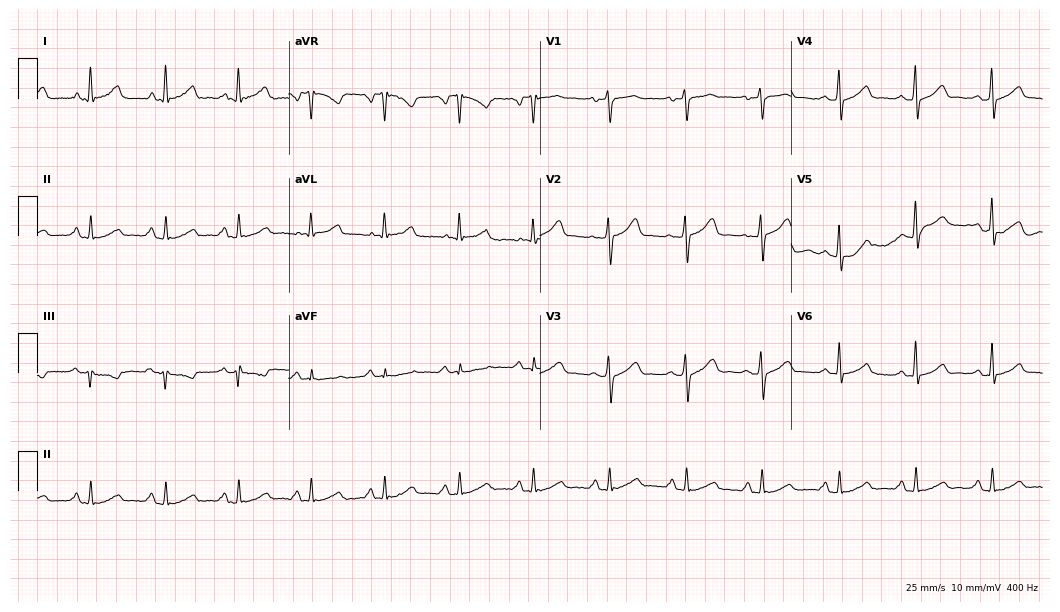
12-lead ECG (10.2-second recording at 400 Hz) from a 51-year-old female. Labelled as a normal ECG.